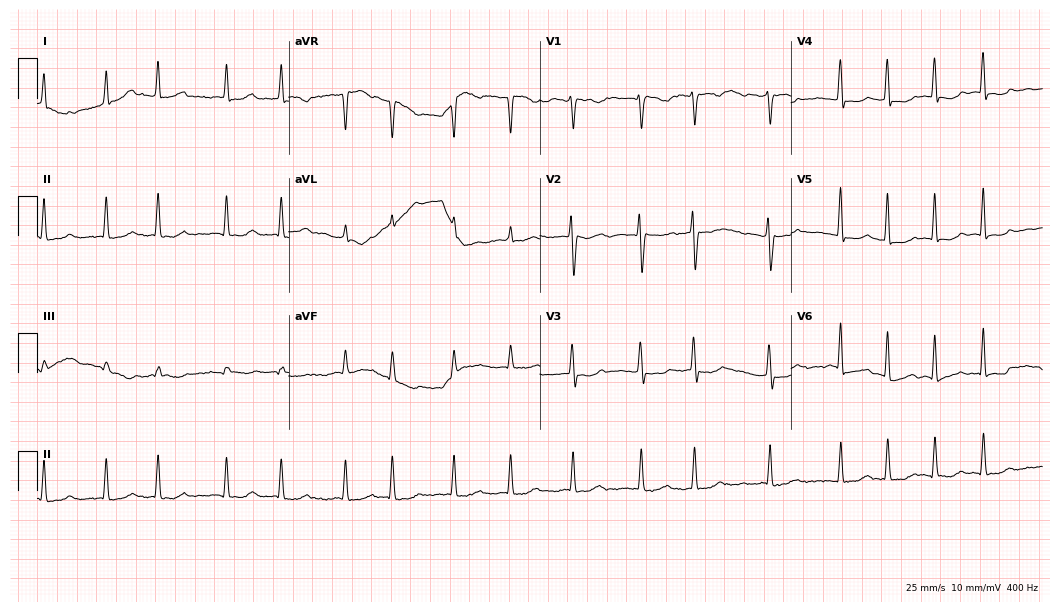
12-lead ECG from a woman, 79 years old. Findings include atrial fibrillation.